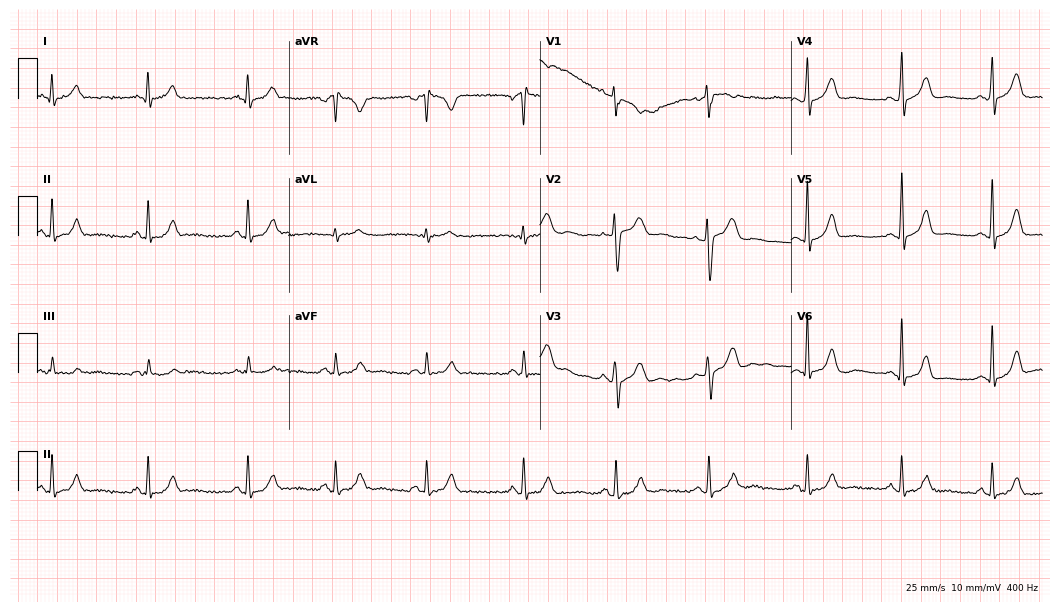
Standard 12-lead ECG recorded from a female, 27 years old (10.2-second recording at 400 Hz). Read as a normal ECG.